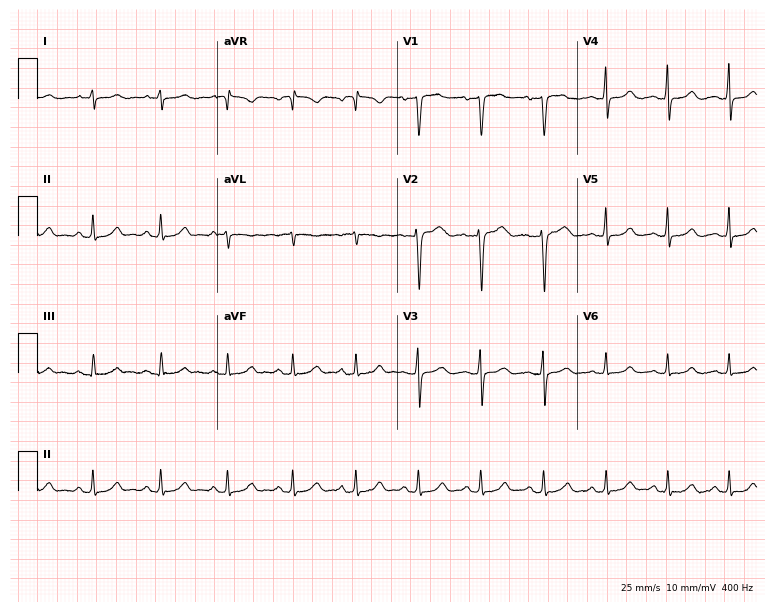
Standard 12-lead ECG recorded from a female, 35 years old. None of these six findings is recorded: first-degree AV block, right bundle branch block (RBBB), left bundle branch block (LBBB), sinus bradycardia, atrial fibrillation (AF), sinus tachycardia. Findings outside these six are not listed.